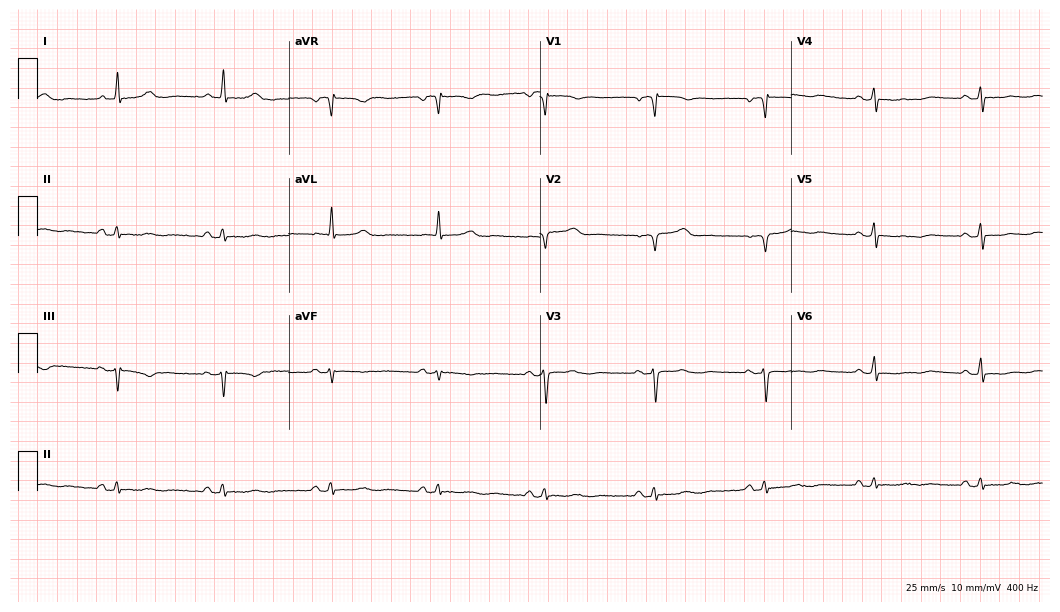
Standard 12-lead ECG recorded from a female, 70 years old (10.2-second recording at 400 Hz). Read as a normal ECG.